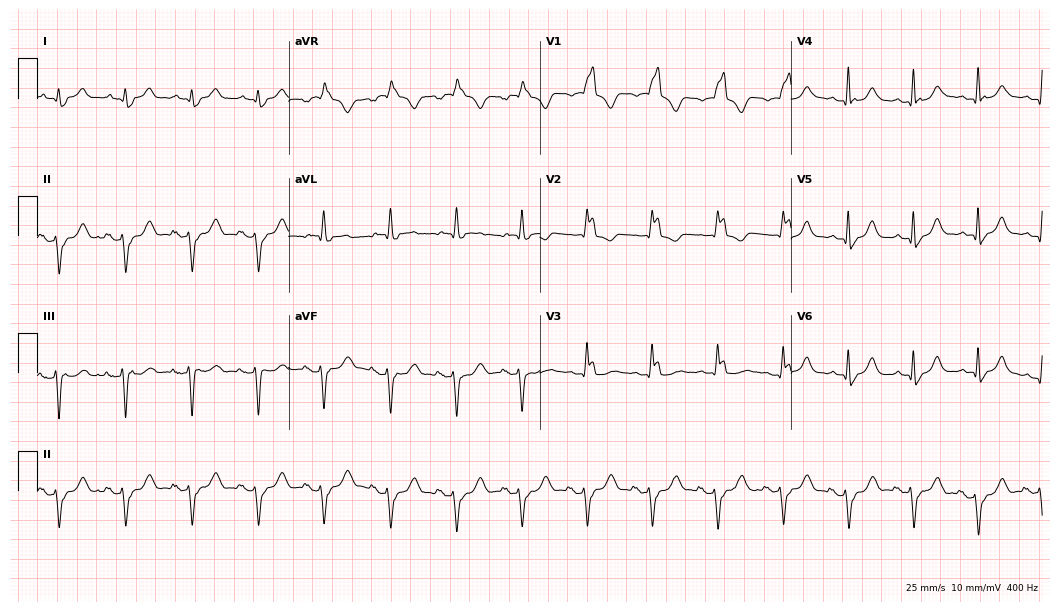
Resting 12-lead electrocardiogram (10.2-second recording at 400 Hz). Patient: a man, 83 years old. The tracing shows right bundle branch block.